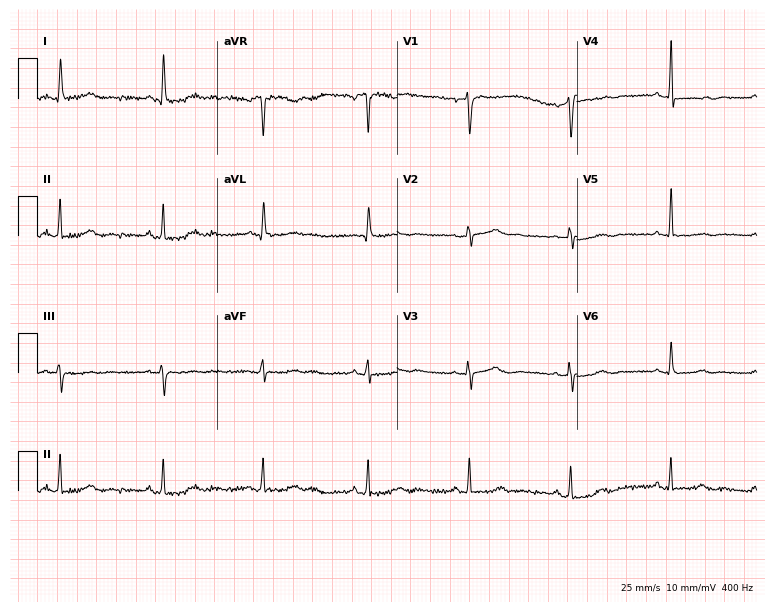
ECG (7.3-second recording at 400 Hz) — a female patient, 57 years old. Screened for six findings — first-degree AV block, right bundle branch block, left bundle branch block, sinus bradycardia, atrial fibrillation, sinus tachycardia — none is recorded. Findings outside these six are not listed.